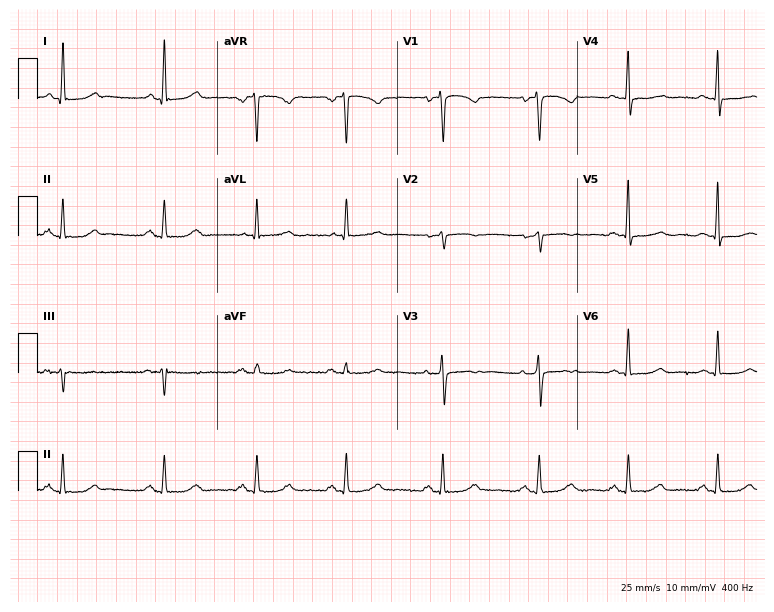
12-lead ECG (7.3-second recording at 400 Hz) from a woman, 46 years old. Screened for six findings — first-degree AV block, right bundle branch block, left bundle branch block, sinus bradycardia, atrial fibrillation, sinus tachycardia — none is recorded.